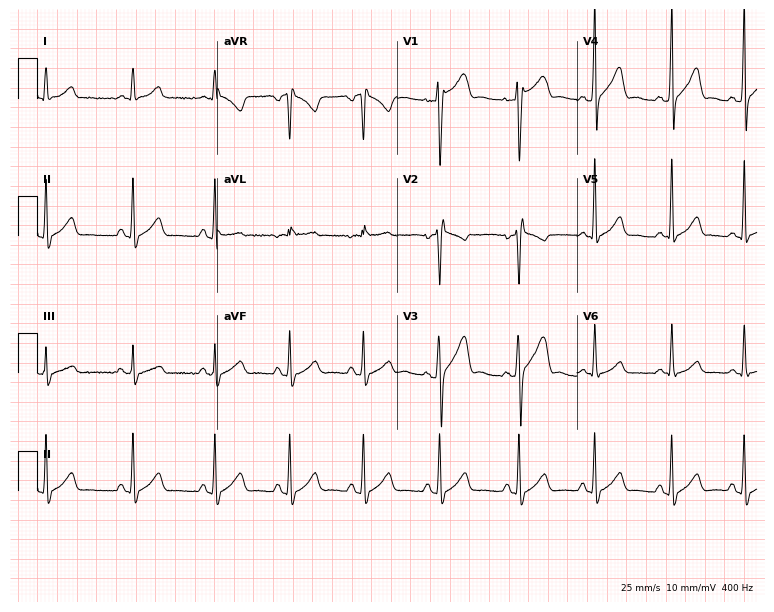
12-lead ECG from a 26-year-old man. Recorded interpretation: within normal limits.